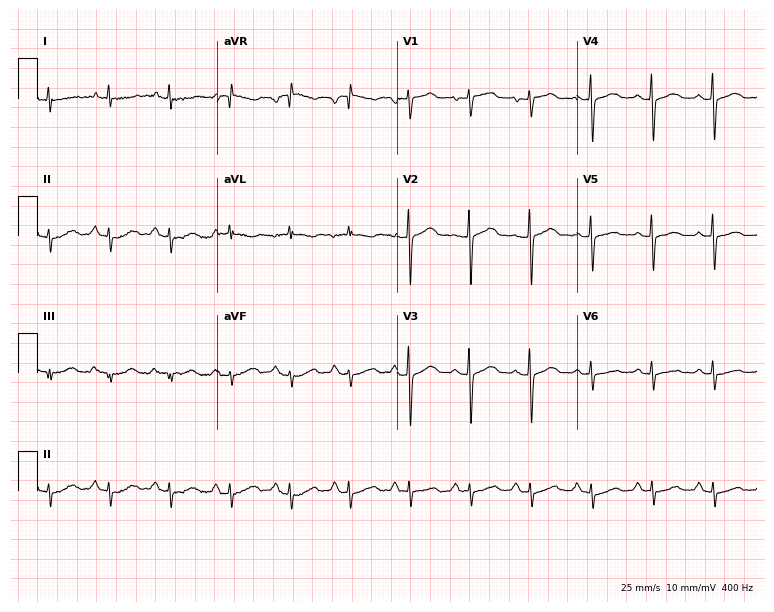
Resting 12-lead electrocardiogram (7.3-second recording at 400 Hz). Patient: a female, 66 years old. None of these six findings is recorded: first-degree AV block, right bundle branch block, left bundle branch block, sinus bradycardia, atrial fibrillation, sinus tachycardia.